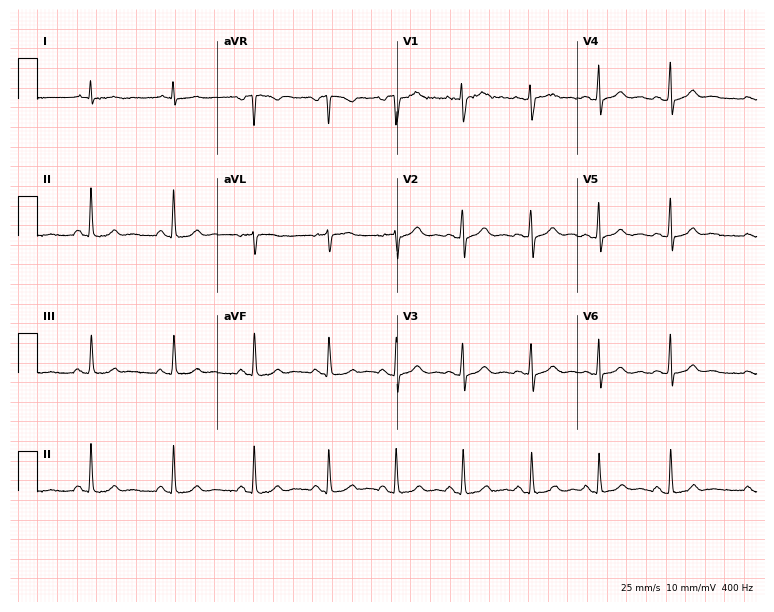
12-lead ECG from a female patient, 24 years old (7.3-second recording at 400 Hz). Recorded interpretation: within normal limits.